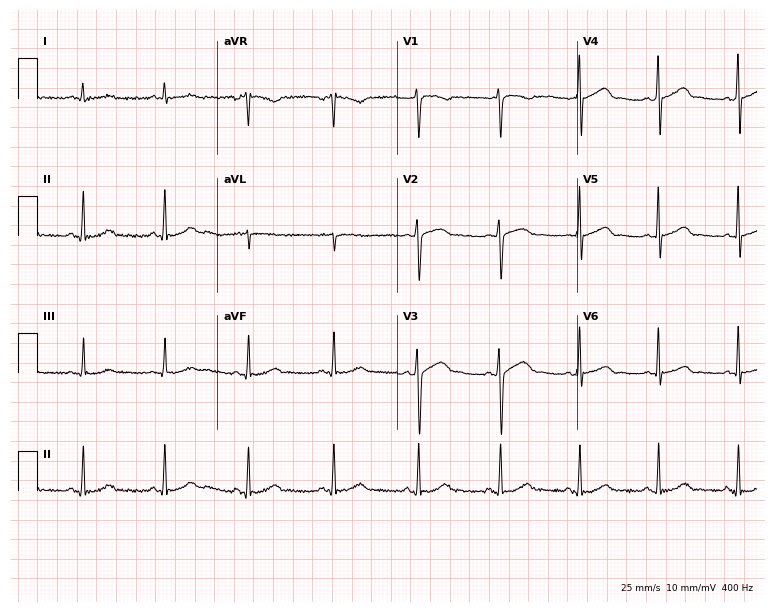
12-lead ECG (7.3-second recording at 400 Hz) from a 40-year-old man. Labelled as a normal ECG.